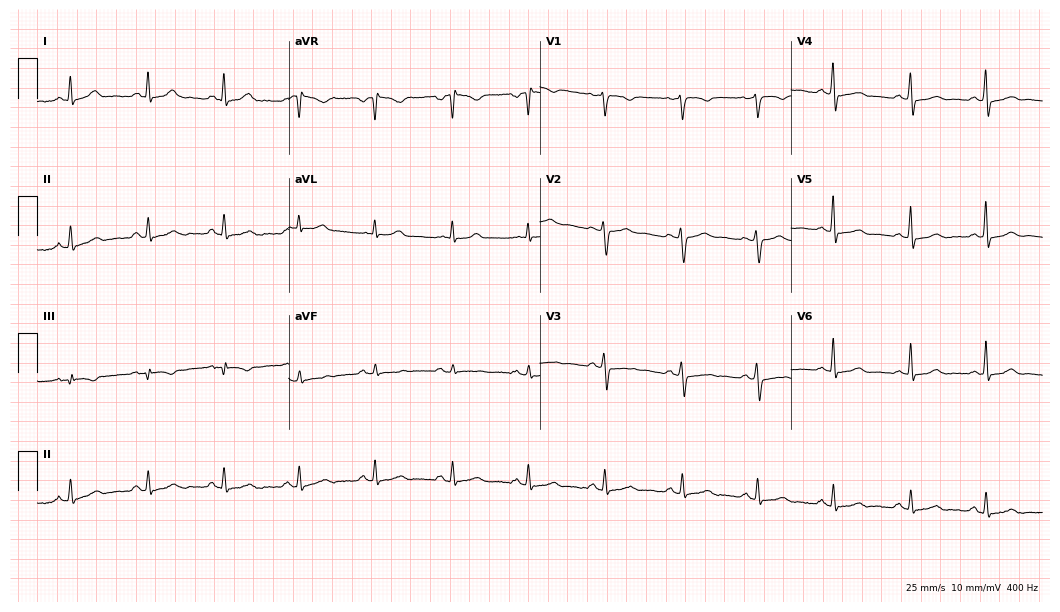
Electrocardiogram (10.2-second recording at 400 Hz), a 57-year-old female. Of the six screened findings (first-degree AV block, right bundle branch block, left bundle branch block, sinus bradycardia, atrial fibrillation, sinus tachycardia), none is recorded. Only these six findings were labelled.